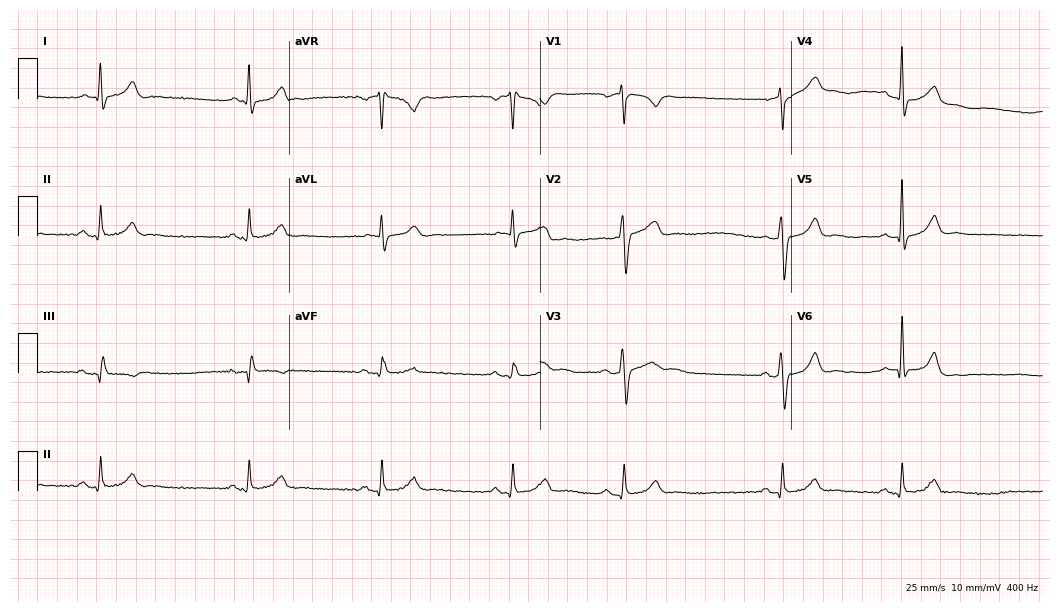
Electrocardiogram (10.2-second recording at 400 Hz), a male patient, 42 years old. Of the six screened findings (first-degree AV block, right bundle branch block, left bundle branch block, sinus bradycardia, atrial fibrillation, sinus tachycardia), none is recorded.